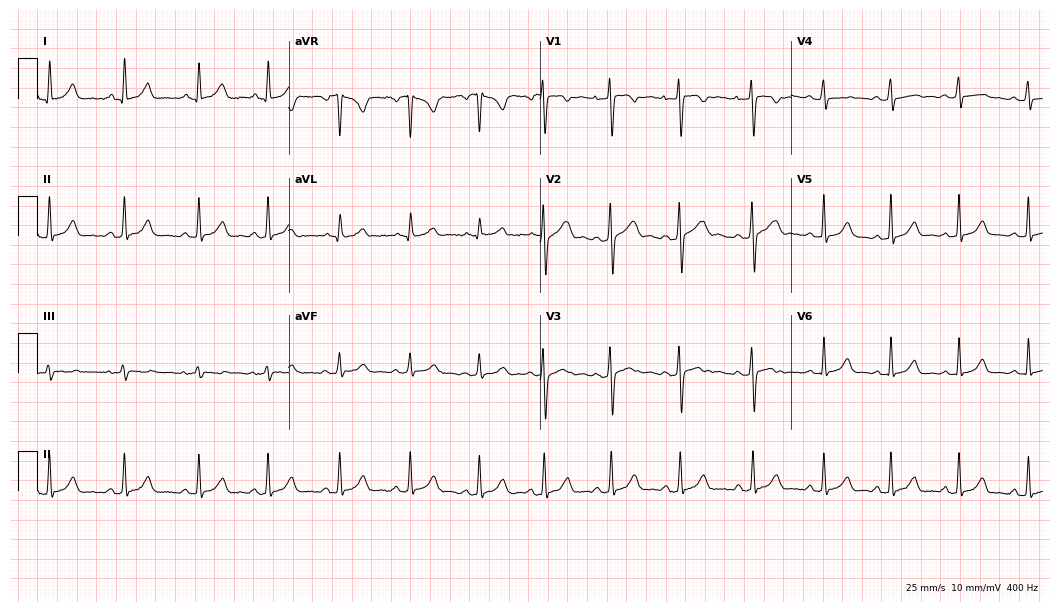
12-lead ECG from a 27-year-old woman (10.2-second recording at 400 Hz). Recorded interpretation: within normal limits.